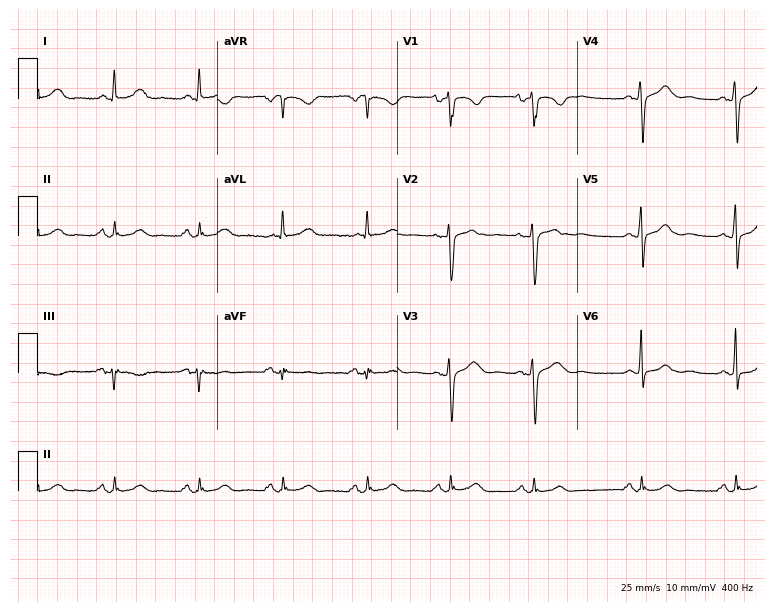
Standard 12-lead ECG recorded from a female, 64 years old. Read as a normal ECG.